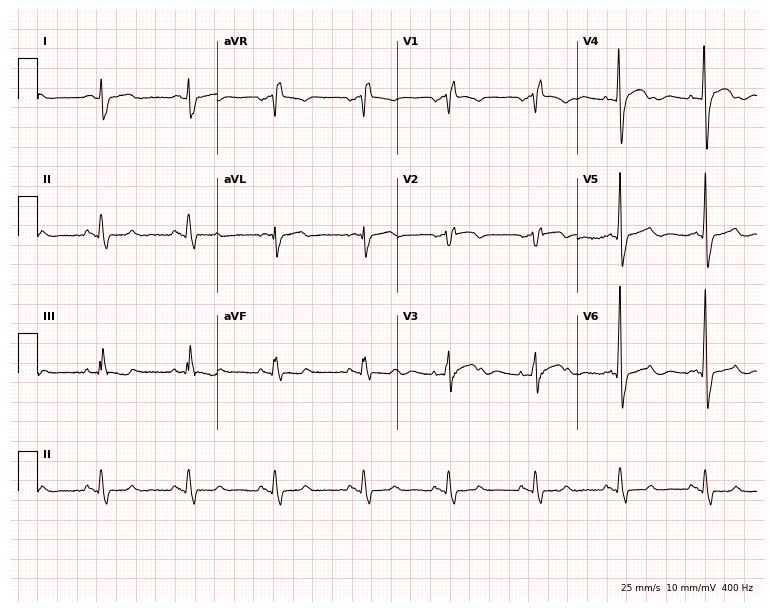
ECG — a woman, 80 years old. Findings include right bundle branch block.